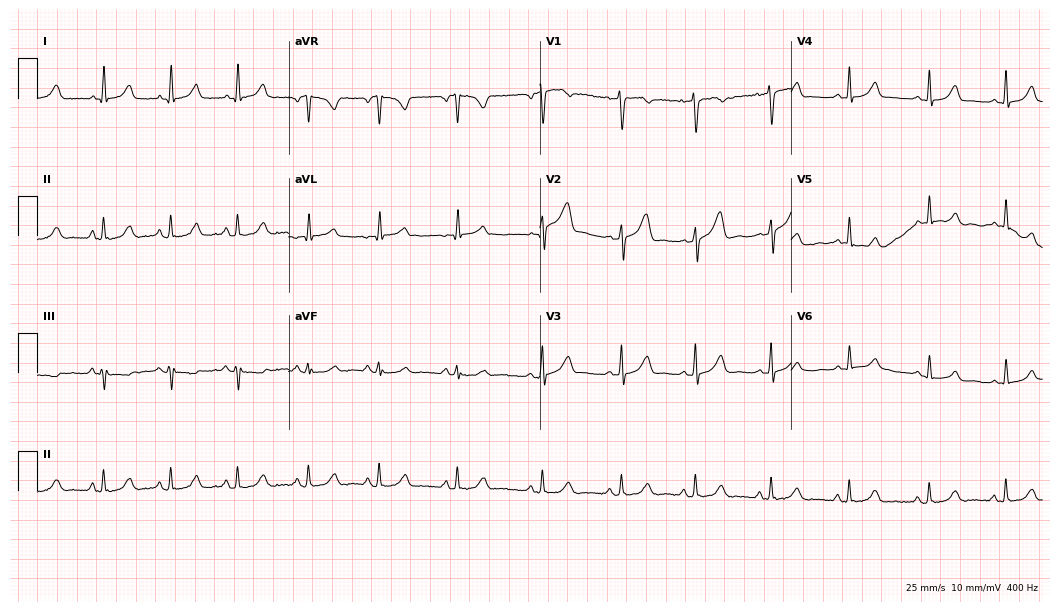
Standard 12-lead ECG recorded from a 35-year-old female patient (10.2-second recording at 400 Hz). Read as a normal ECG.